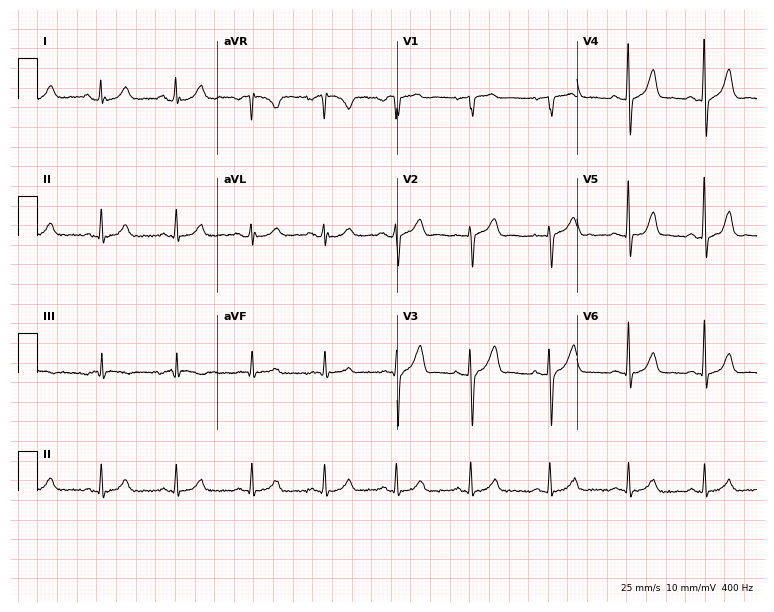
Electrocardiogram, a female, 51 years old. Overall reading on record: normal ECG.